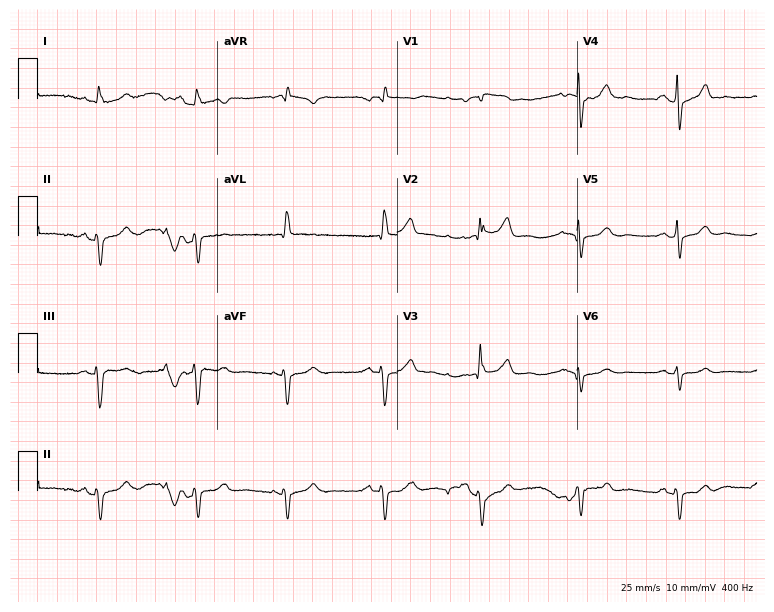
Electrocardiogram (7.3-second recording at 400 Hz), a 77-year-old man. Of the six screened findings (first-degree AV block, right bundle branch block, left bundle branch block, sinus bradycardia, atrial fibrillation, sinus tachycardia), none is recorded. Findings outside these six are not listed.